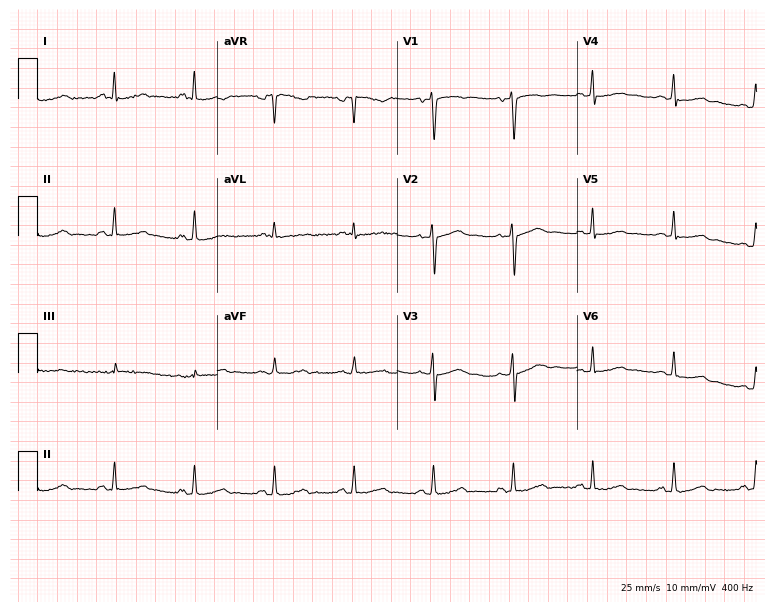
Electrocardiogram (7.3-second recording at 400 Hz), a female patient, 40 years old. Of the six screened findings (first-degree AV block, right bundle branch block (RBBB), left bundle branch block (LBBB), sinus bradycardia, atrial fibrillation (AF), sinus tachycardia), none is recorded.